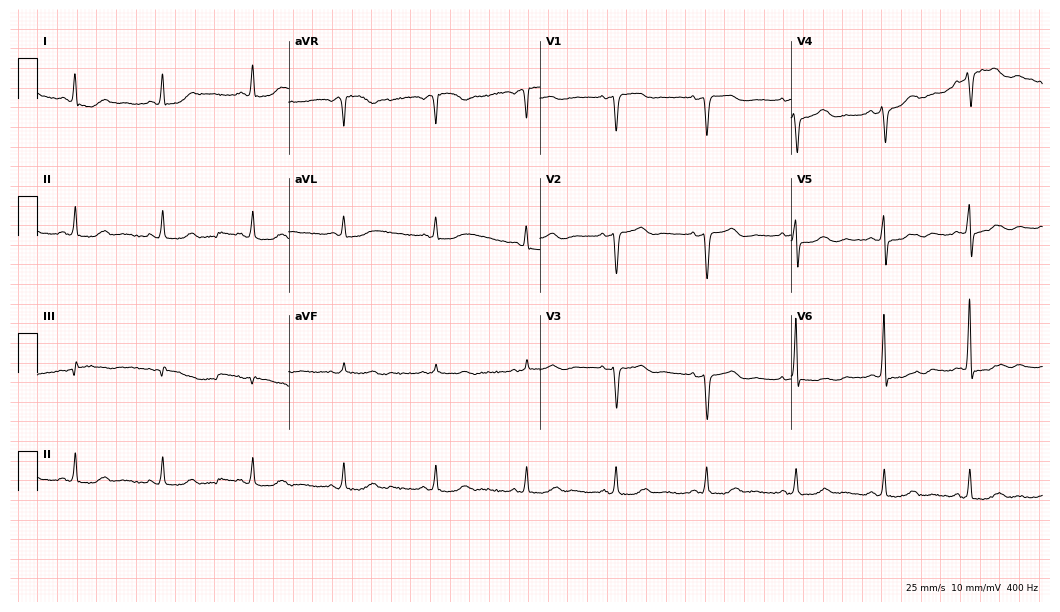
12-lead ECG from a 64-year-old female. Screened for six findings — first-degree AV block, right bundle branch block, left bundle branch block, sinus bradycardia, atrial fibrillation, sinus tachycardia — none is recorded.